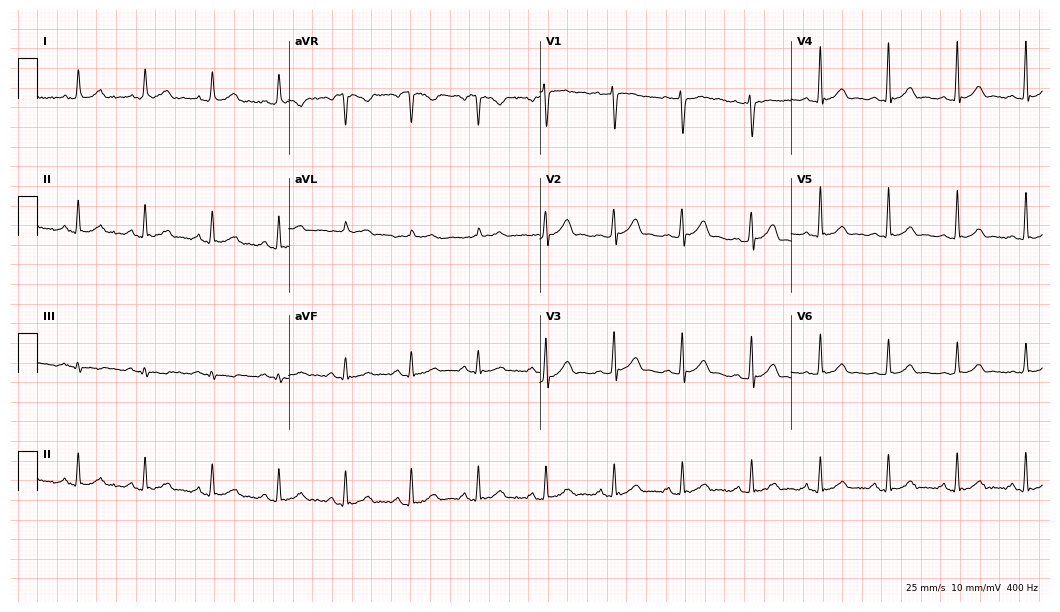
Resting 12-lead electrocardiogram (10.2-second recording at 400 Hz). Patient: a 49-year-old female. Read as a normal ECG.